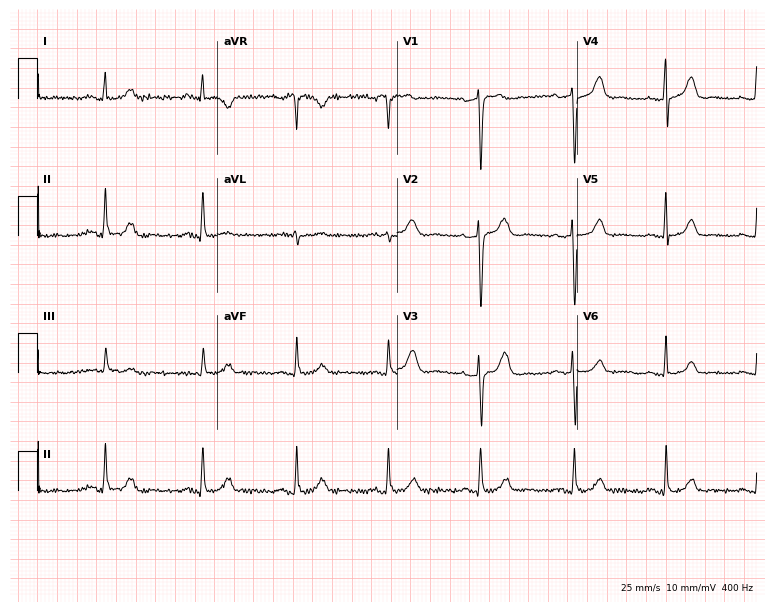
Resting 12-lead electrocardiogram (7.3-second recording at 400 Hz). Patient: a female, 45 years old. Read as a normal ECG.